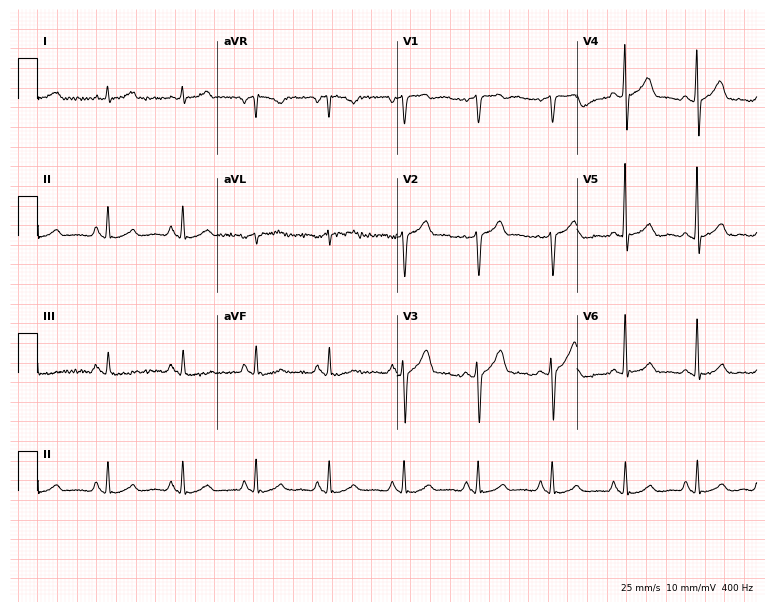
Standard 12-lead ECG recorded from a male patient, 56 years old (7.3-second recording at 400 Hz). Read as a normal ECG.